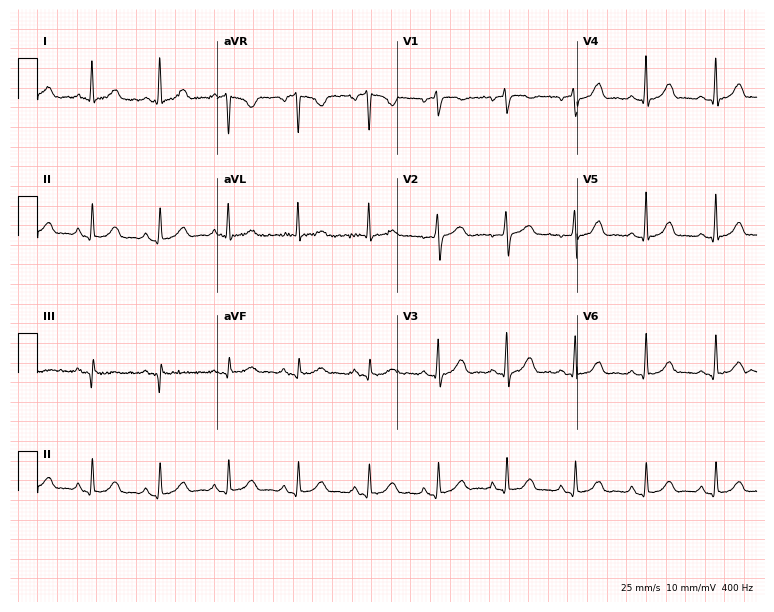
Electrocardiogram (7.3-second recording at 400 Hz), a 71-year-old woman. Overall reading on record: normal ECG.